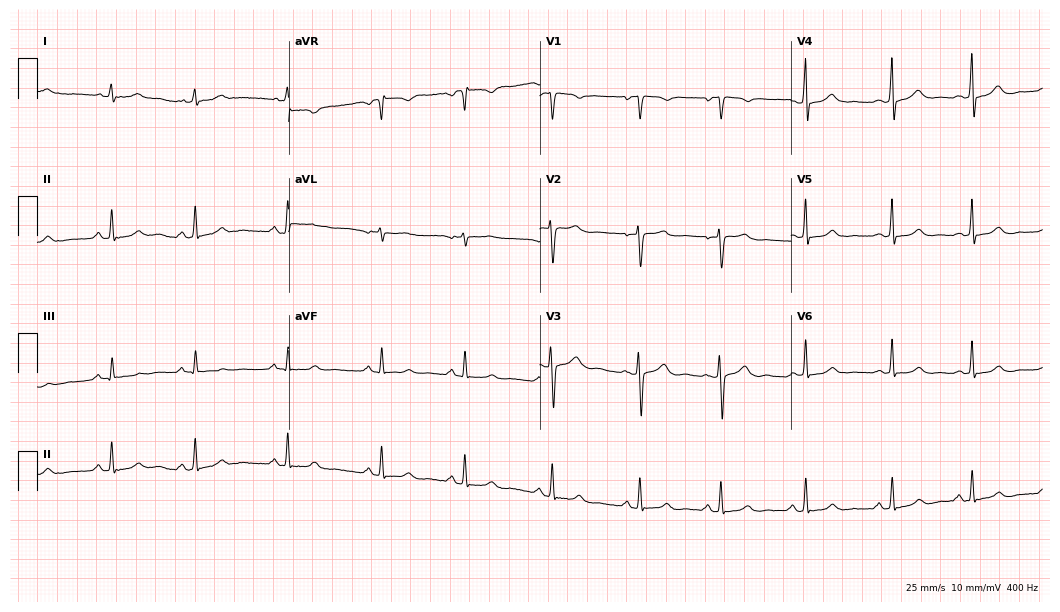
Electrocardiogram (10.2-second recording at 400 Hz), a 20-year-old female. Overall reading on record: normal ECG.